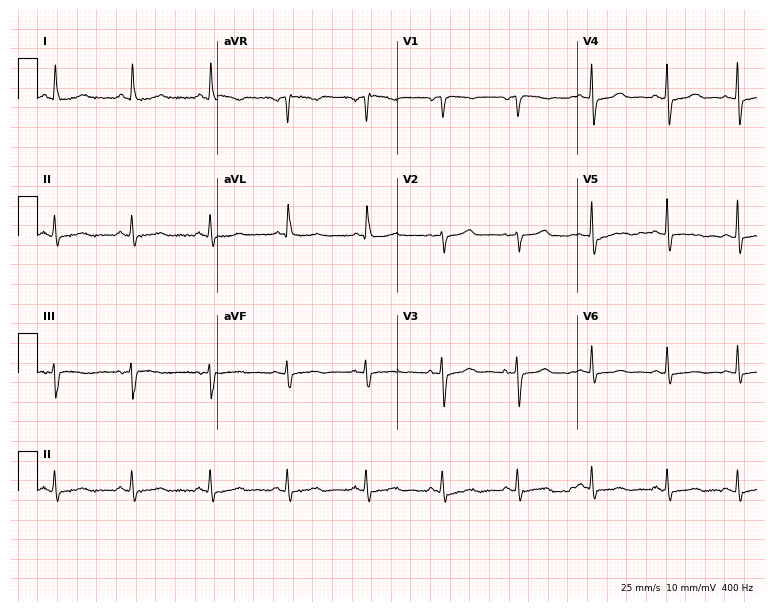
12-lead ECG (7.3-second recording at 400 Hz) from a 64-year-old female. Screened for six findings — first-degree AV block, right bundle branch block, left bundle branch block, sinus bradycardia, atrial fibrillation, sinus tachycardia — none is recorded. Only these six findings were labelled.